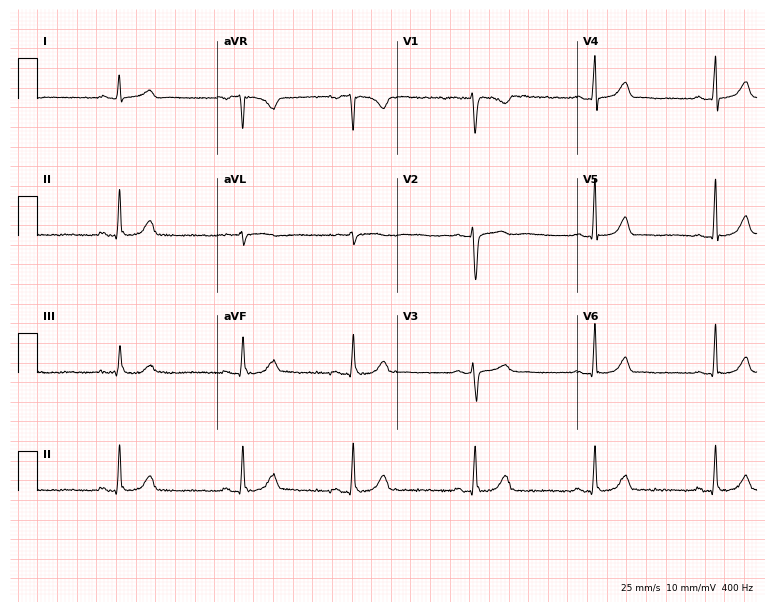
12-lead ECG (7.3-second recording at 400 Hz) from a female patient, 30 years old. Findings include sinus bradycardia (a sinus rate of 50 beats per minute or less).